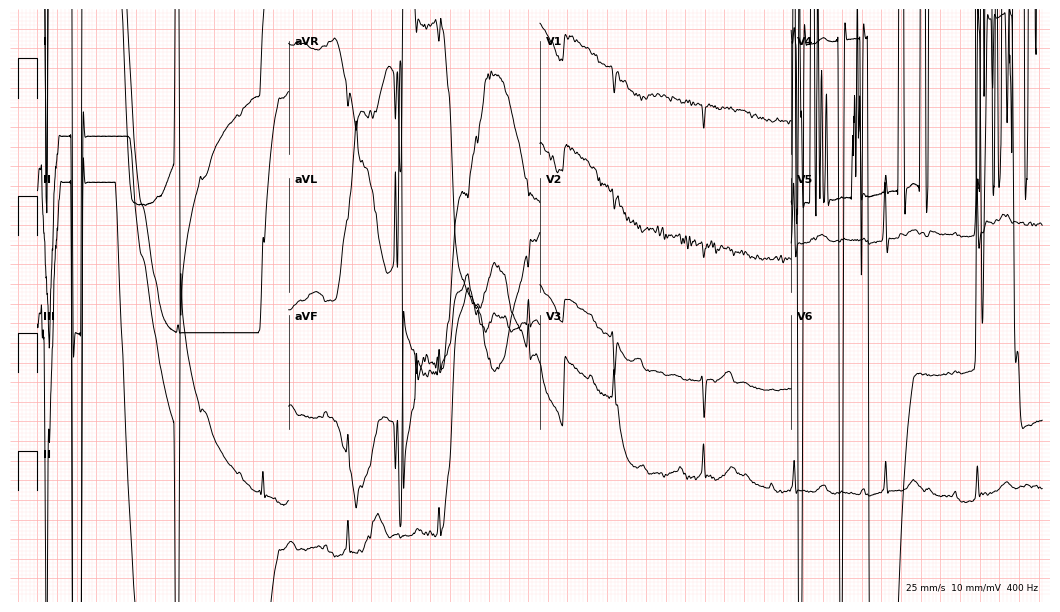
Standard 12-lead ECG recorded from a male patient, 80 years old (10.2-second recording at 400 Hz). None of these six findings is recorded: first-degree AV block, right bundle branch block, left bundle branch block, sinus bradycardia, atrial fibrillation, sinus tachycardia.